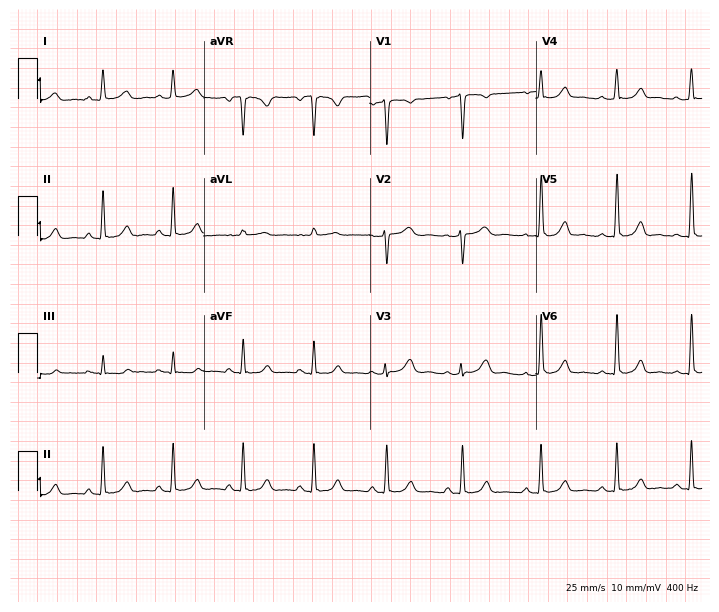
Standard 12-lead ECG recorded from a female, 40 years old (6.8-second recording at 400 Hz). Read as a normal ECG.